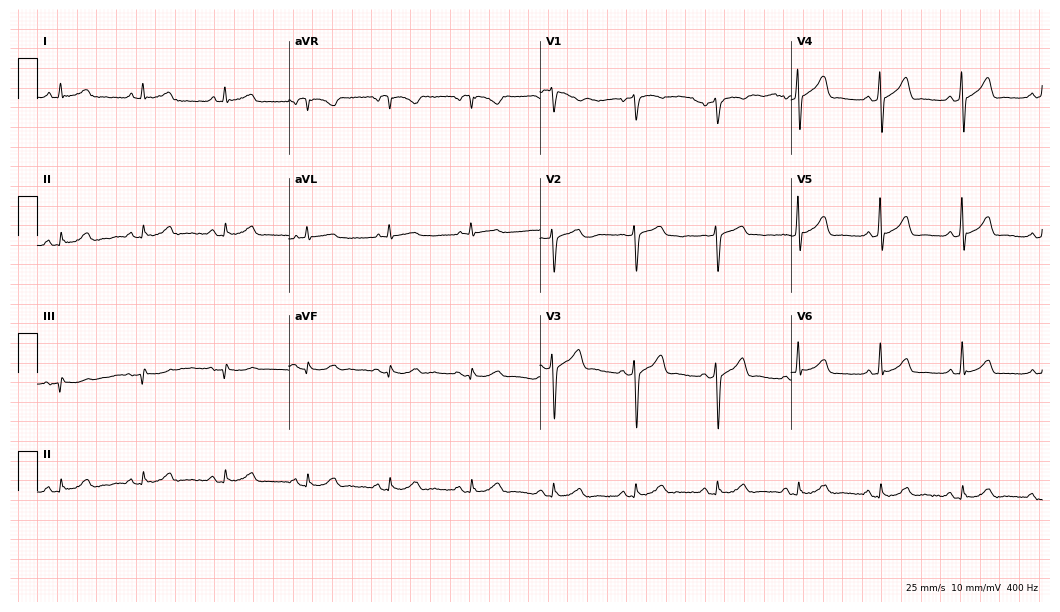
Resting 12-lead electrocardiogram. Patient: a man, 58 years old. Read as a normal ECG.